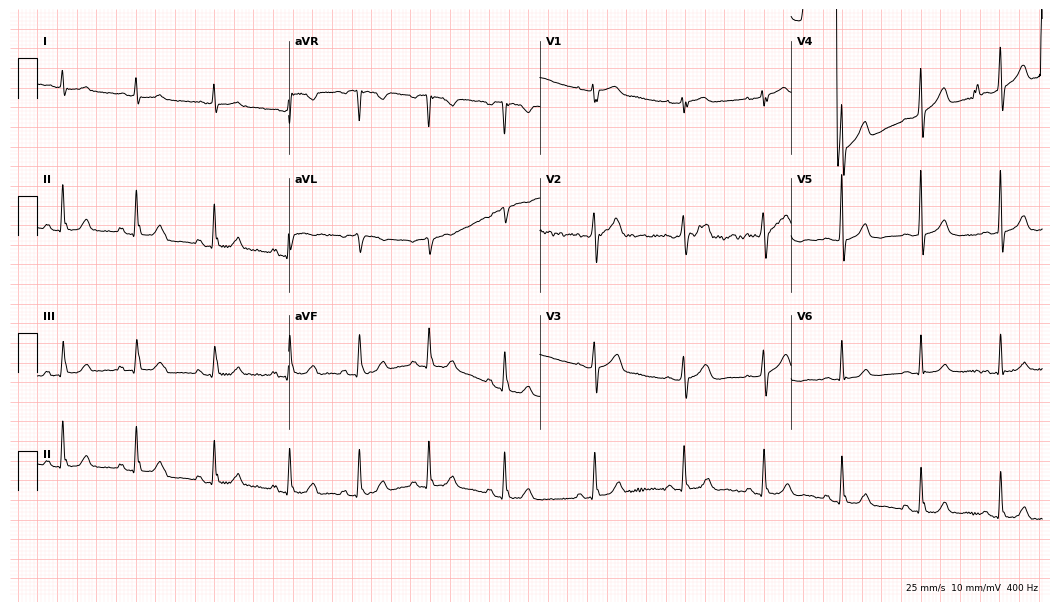
Standard 12-lead ECG recorded from a female, 73 years old (10.2-second recording at 400 Hz). Read as a normal ECG.